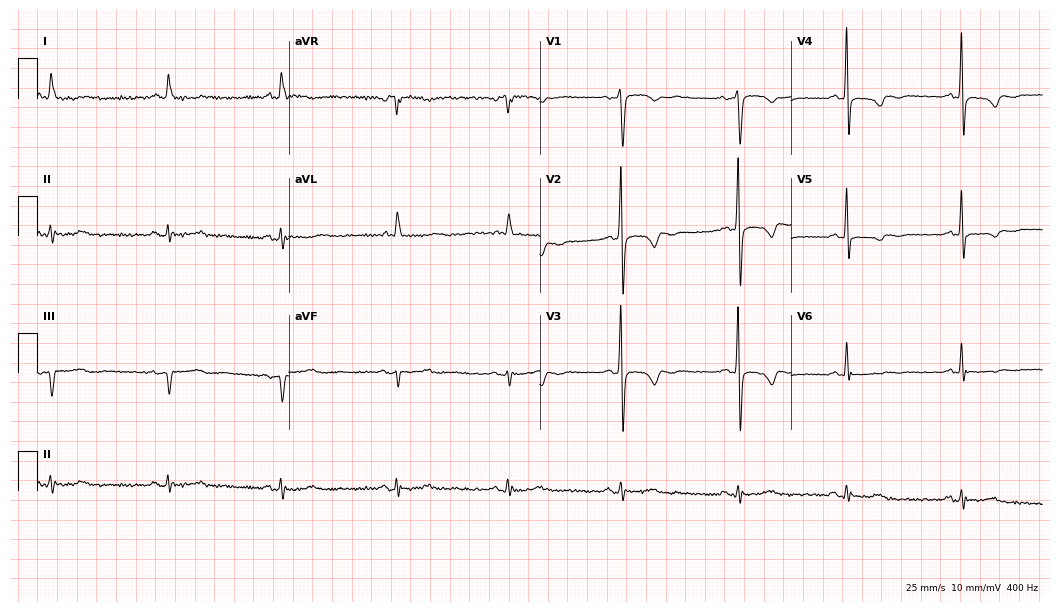
Resting 12-lead electrocardiogram. Patient: an 80-year-old female. None of these six findings is recorded: first-degree AV block, right bundle branch block, left bundle branch block, sinus bradycardia, atrial fibrillation, sinus tachycardia.